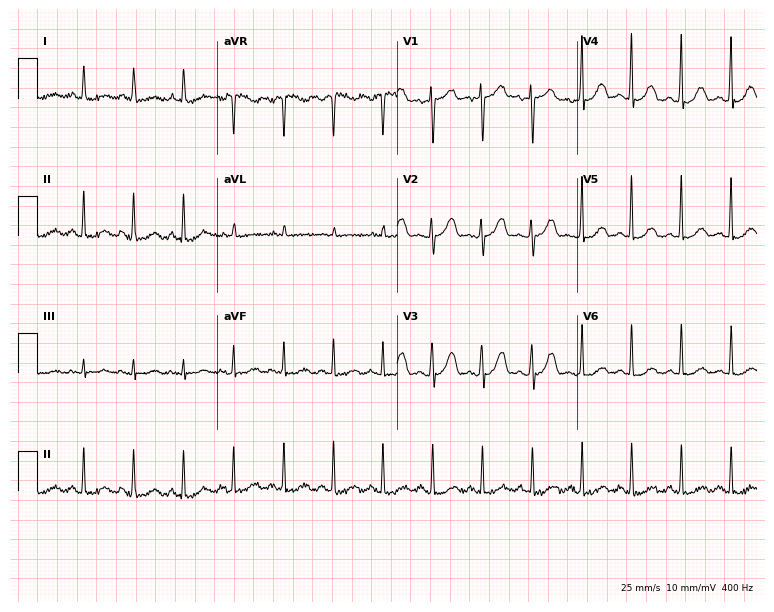
ECG — a female patient, 20 years old. Findings include sinus tachycardia (a sinus rate of 100 beats per minute or more).